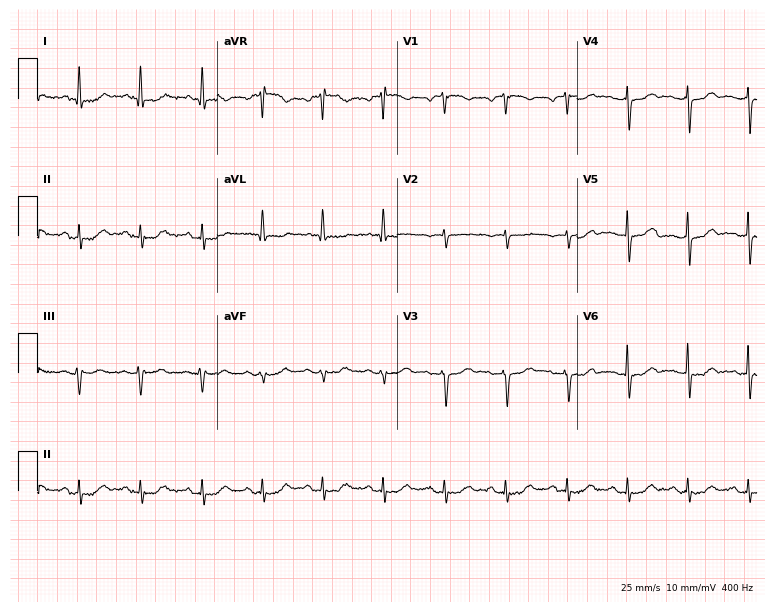
12-lead ECG from a female patient, 58 years old. No first-degree AV block, right bundle branch block (RBBB), left bundle branch block (LBBB), sinus bradycardia, atrial fibrillation (AF) or sinus tachycardia recorded for this tracing.